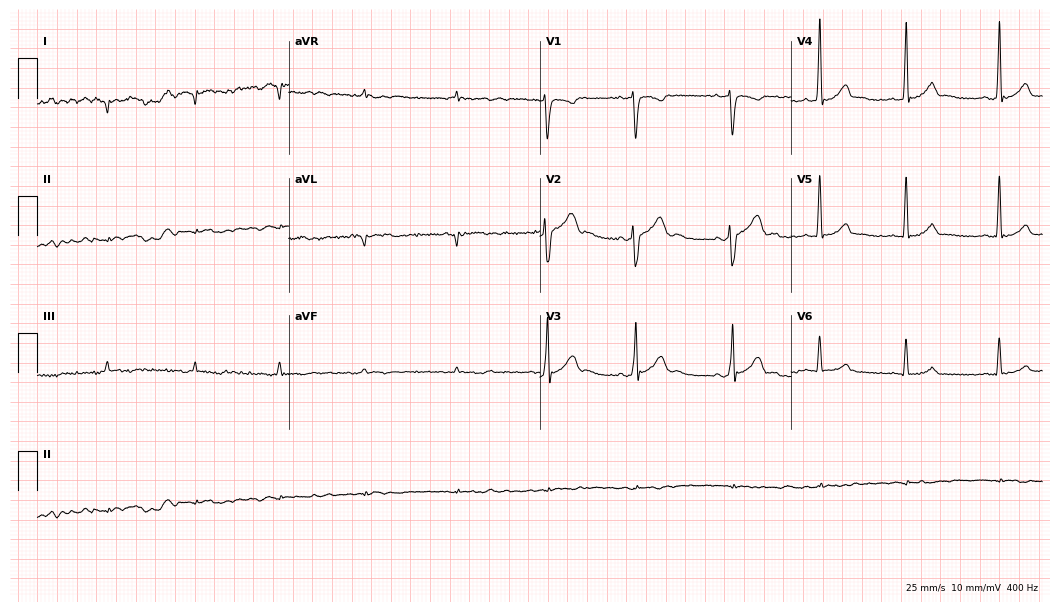
Electrocardiogram (10.2-second recording at 400 Hz), a 26-year-old male. Of the six screened findings (first-degree AV block, right bundle branch block, left bundle branch block, sinus bradycardia, atrial fibrillation, sinus tachycardia), none is recorded. Other findings, if any, are not listed.